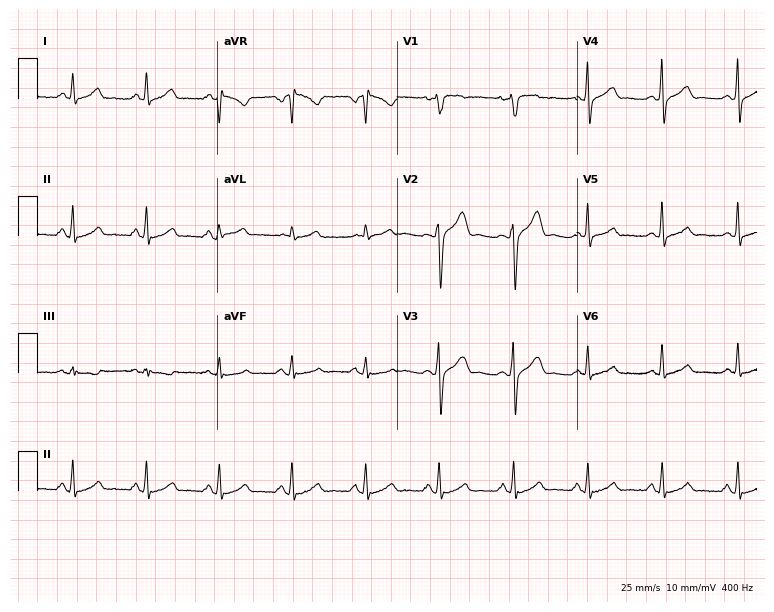
12-lead ECG from a male, 45 years old. Recorded interpretation: within normal limits.